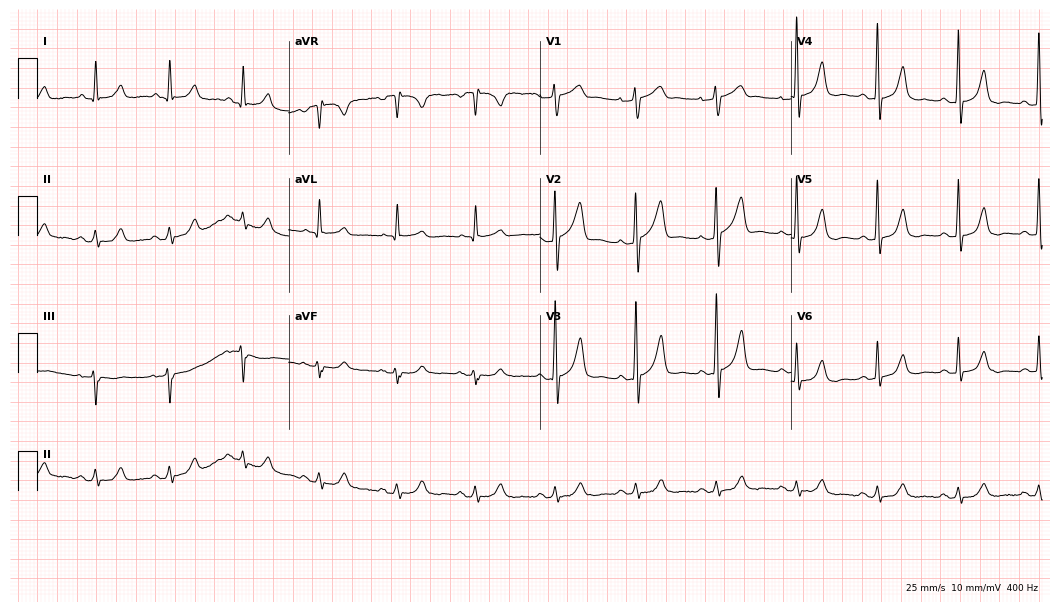
Resting 12-lead electrocardiogram. Patient: a 76-year-old male. Read as a normal ECG.